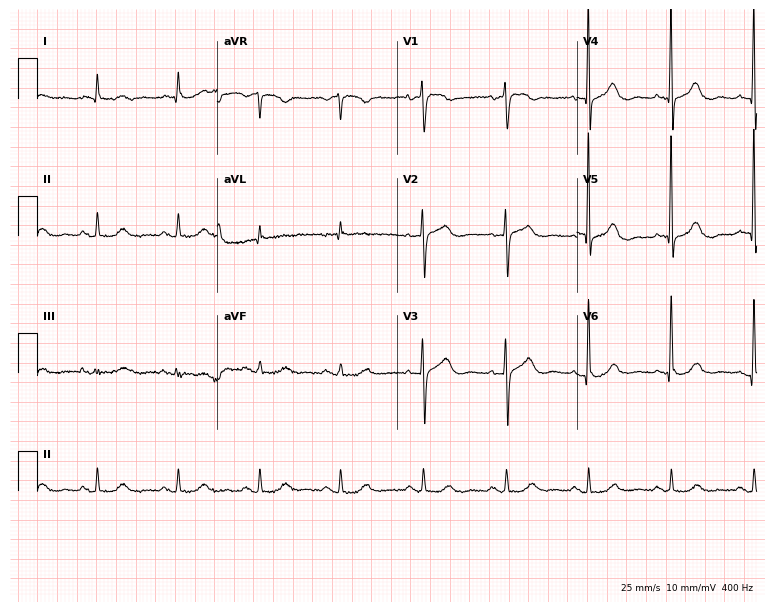
ECG — an 81-year-old female. Screened for six findings — first-degree AV block, right bundle branch block, left bundle branch block, sinus bradycardia, atrial fibrillation, sinus tachycardia — none is recorded. Other findings, if any, are not listed.